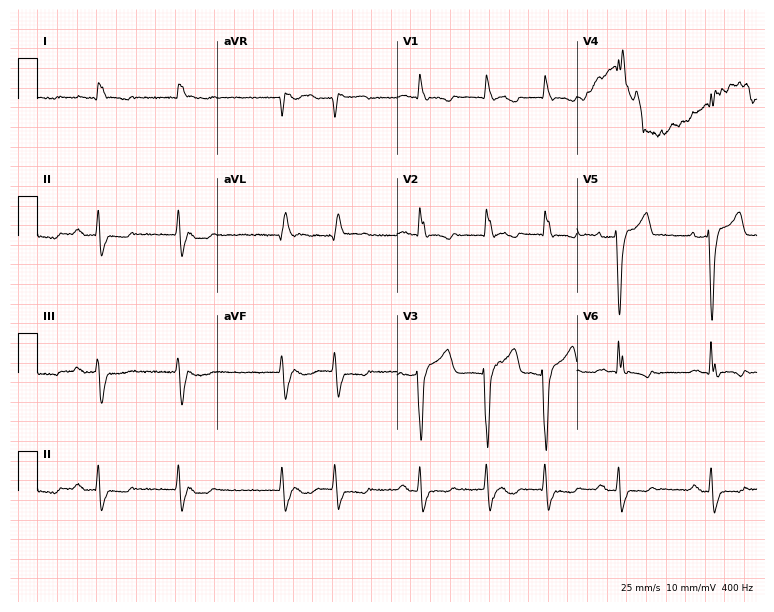
Resting 12-lead electrocardiogram. Patient: a male, 84 years old. The tracing shows right bundle branch block, atrial fibrillation.